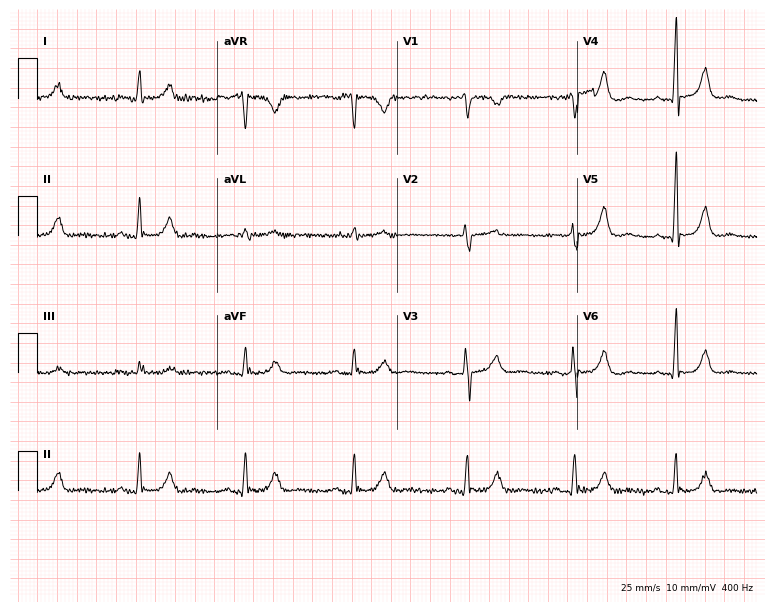
ECG (7.3-second recording at 400 Hz) — a 64-year-old female patient. Labelled as a normal ECG.